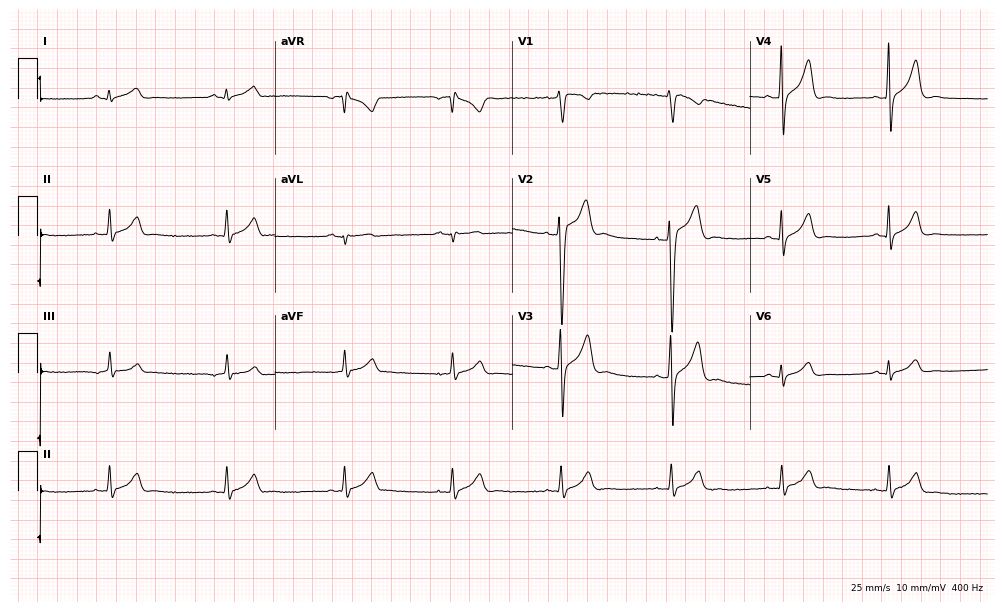
Electrocardiogram, a 34-year-old male. Overall reading on record: normal ECG.